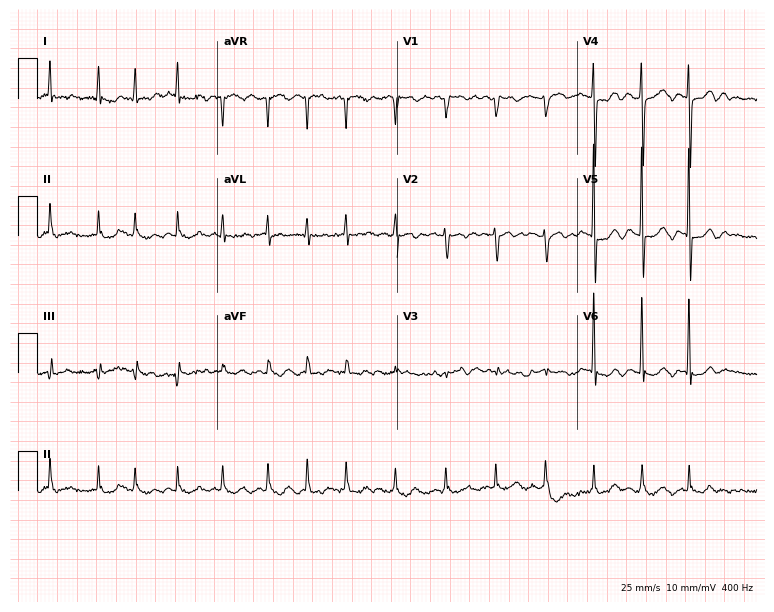
Resting 12-lead electrocardiogram. Patient: a 69-year-old woman. The tracing shows atrial fibrillation.